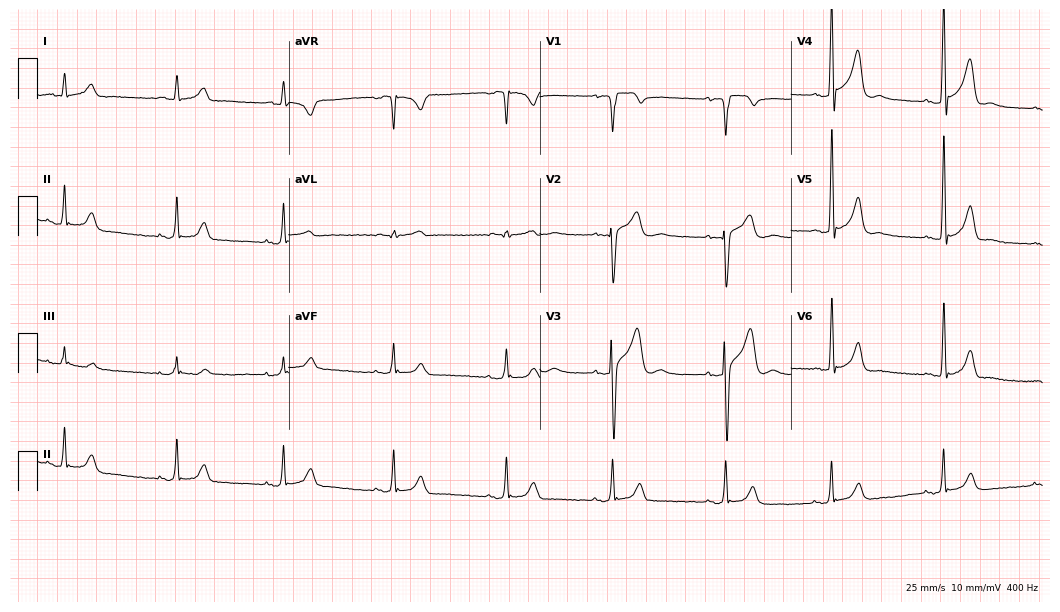
12-lead ECG from a 24-year-old male. No first-degree AV block, right bundle branch block (RBBB), left bundle branch block (LBBB), sinus bradycardia, atrial fibrillation (AF) or sinus tachycardia recorded for this tracing.